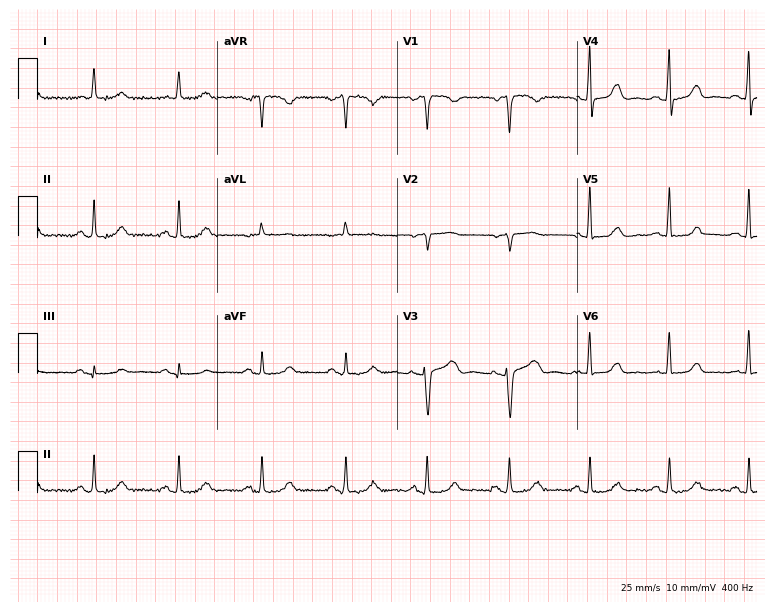
Electrocardiogram, a woman, 49 years old. Overall reading on record: normal ECG.